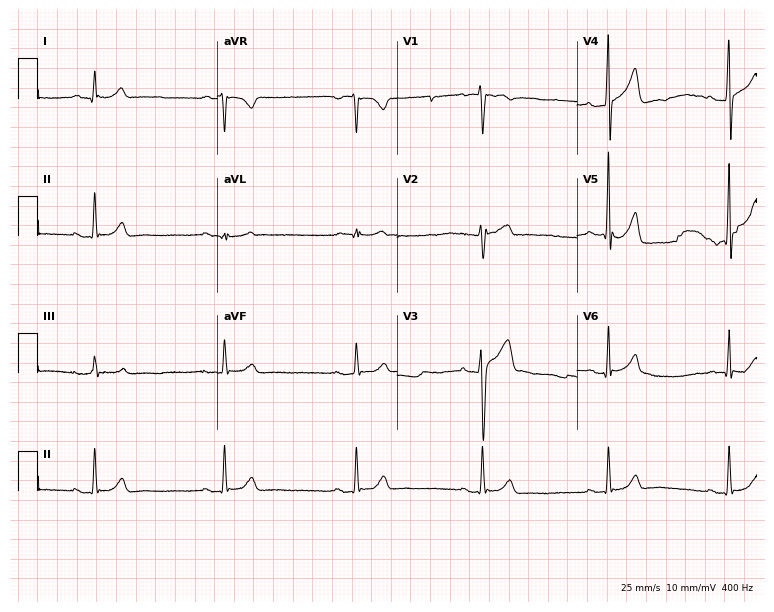
Resting 12-lead electrocardiogram (7.3-second recording at 400 Hz). Patient: a 37-year-old male. The tracing shows sinus bradycardia (a sinus rate of 50 beats per minute or less).